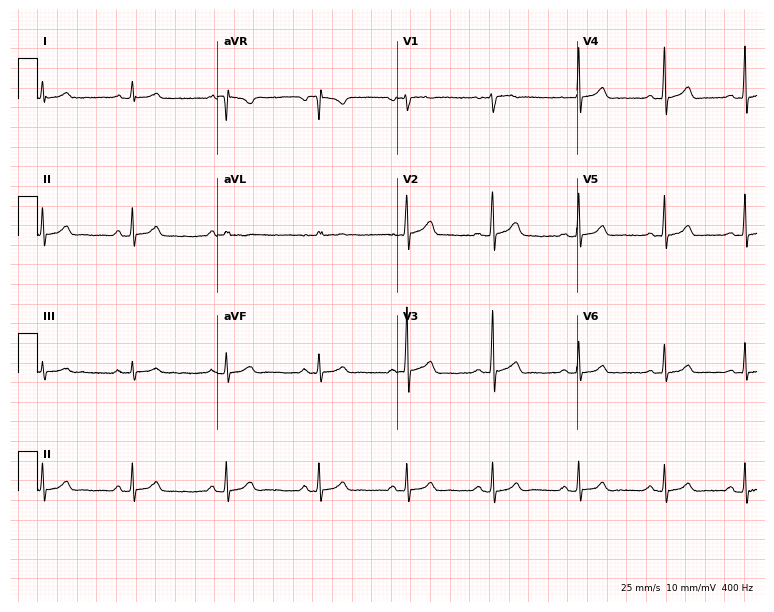
ECG (7.3-second recording at 400 Hz) — a 17-year-old female patient. Labelled as a normal ECG.